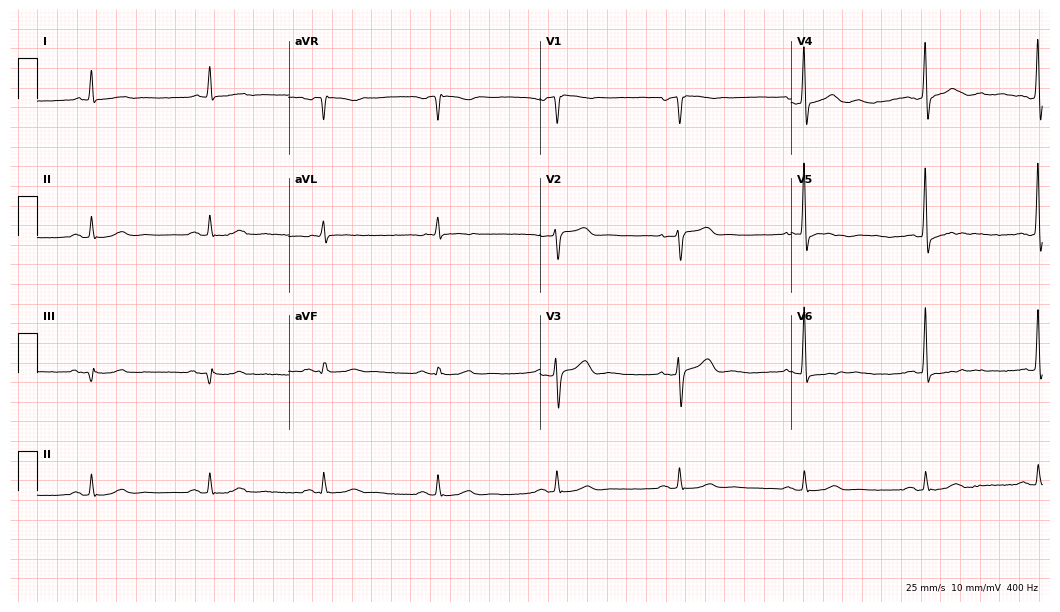
Resting 12-lead electrocardiogram (10.2-second recording at 400 Hz). Patient: a 76-year-old male. The tracing shows right bundle branch block, sinus bradycardia (a sinus rate of 50 beats per minute or less).